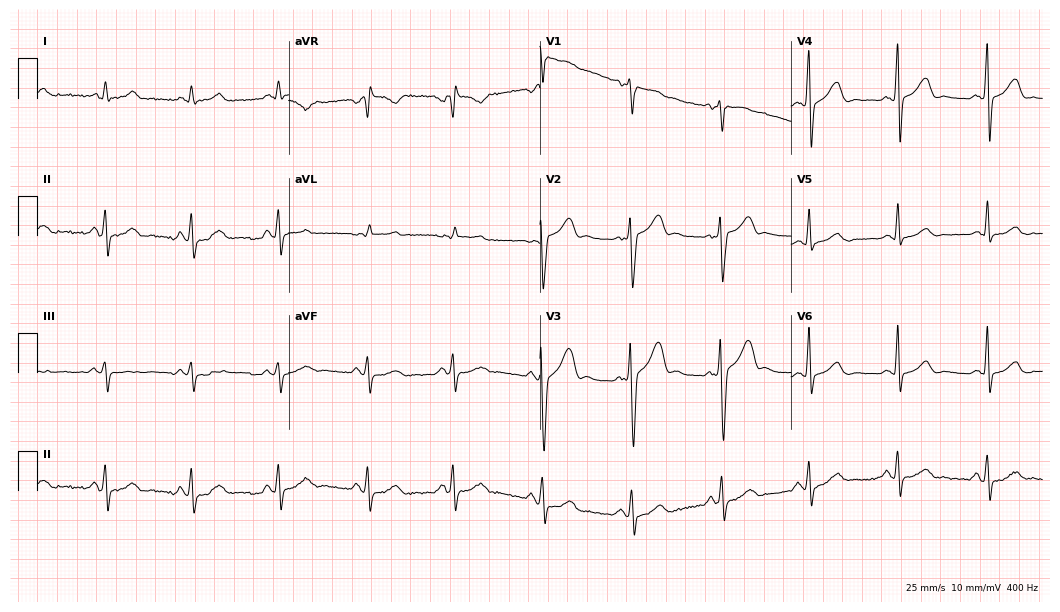
12-lead ECG (10.2-second recording at 400 Hz) from a 49-year-old male patient. Screened for six findings — first-degree AV block, right bundle branch block, left bundle branch block, sinus bradycardia, atrial fibrillation, sinus tachycardia — none is recorded. Only these six findings were labelled.